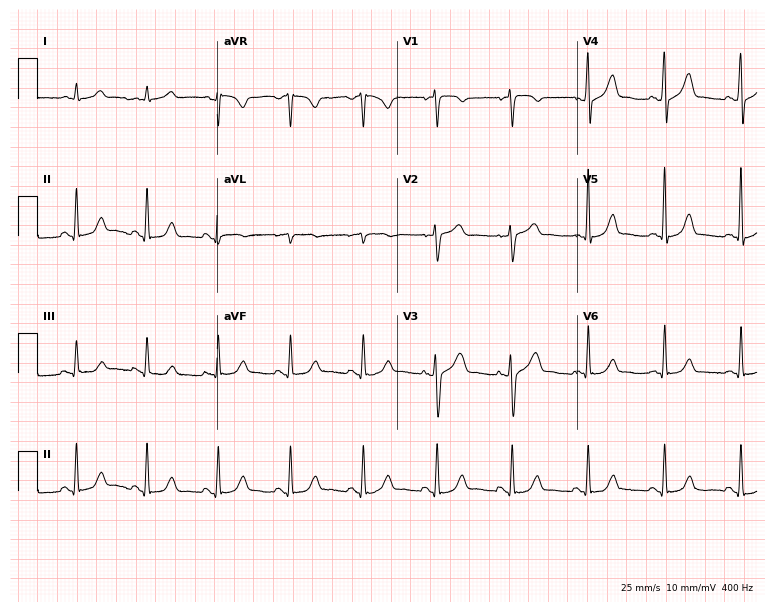
12-lead ECG (7.3-second recording at 400 Hz) from a 66-year-old male. Labelled as a normal ECG.